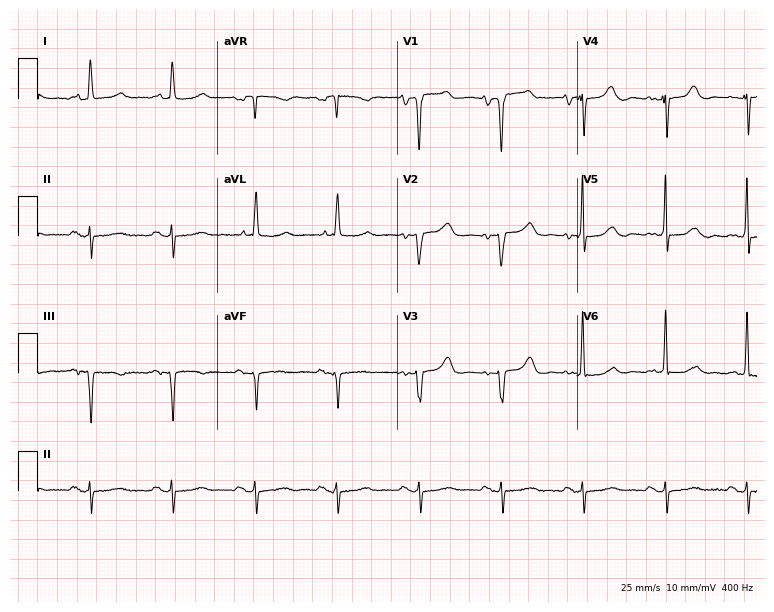
ECG — a 74-year-old female patient. Screened for six findings — first-degree AV block, right bundle branch block (RBBB), left bundle branch block (LBBB), sinus bradycardia, atrial fibrillation (AF), sinus tachycardia — none is recorded. Only these six findings were labelled.